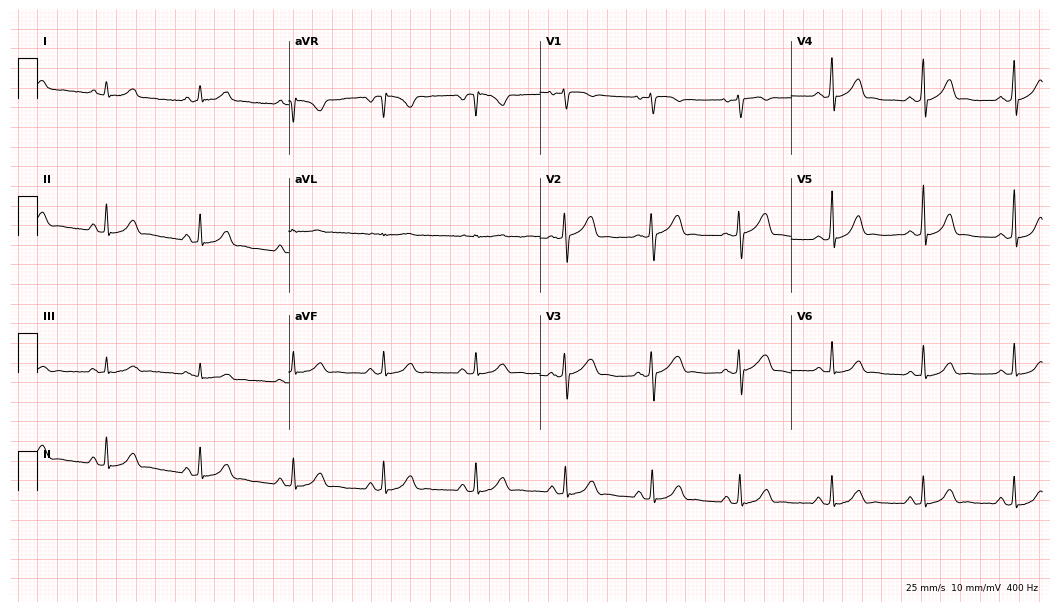
Resting 12-lead electrocardiogram (10.2-second recording at 400 Hz). Patient: a 21-year-old woman. Read as a normal ECG.